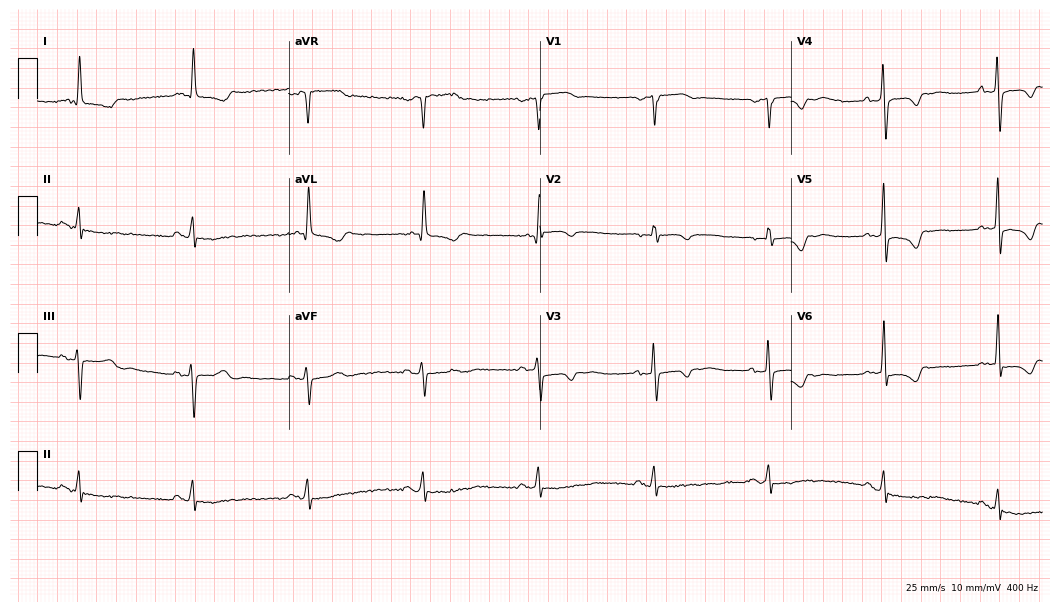
ECG (10.2-second recording at 400 Hz) — a woman, 78 years old. Screened for six findings — first-degree AV block, right bundle branch block, left bundle branch block, sinus bradycardia, atrial fibrillation, sinus tachycardia — none is recorded. Findings outside these six are not listed.